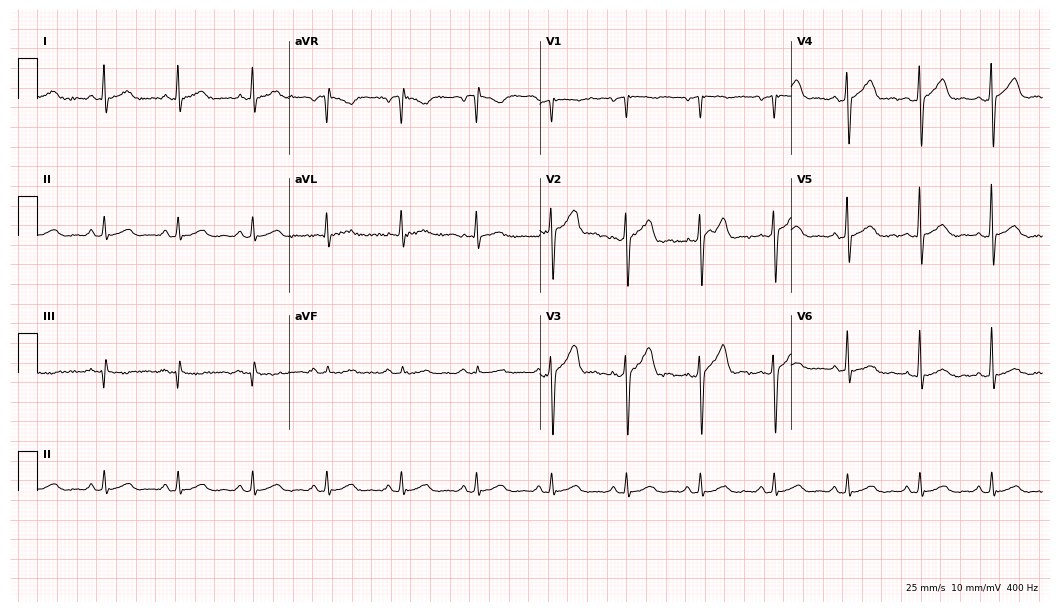
ECG — a 46-year-old man. Labelled as a normal ECG.